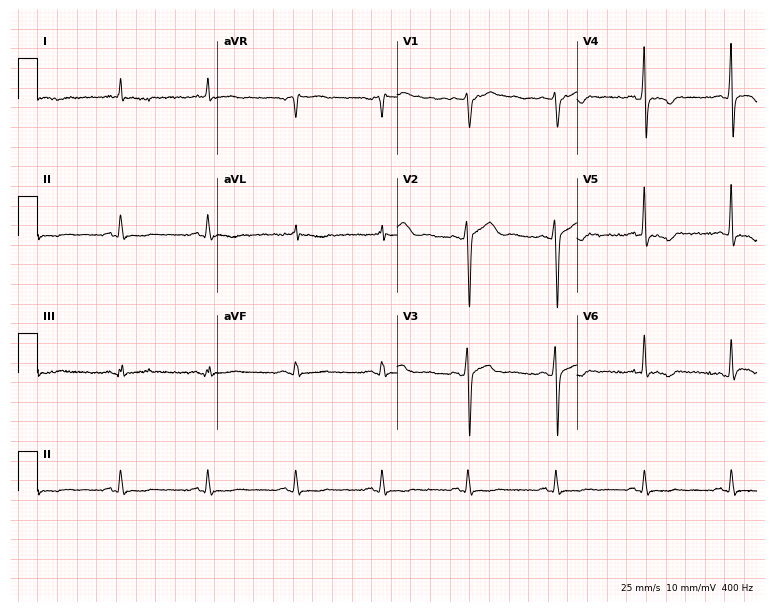
ECG (7.3-second recording at 400 Hz) — a male patient, 34 years old. Screened for six findings — first-degree AV block, right bundle branch block (RBBB), left bundle branch block (LBBB), sinus bradycardia, atrial fibrillation (AF), sinus tachycardia — none is recorded.